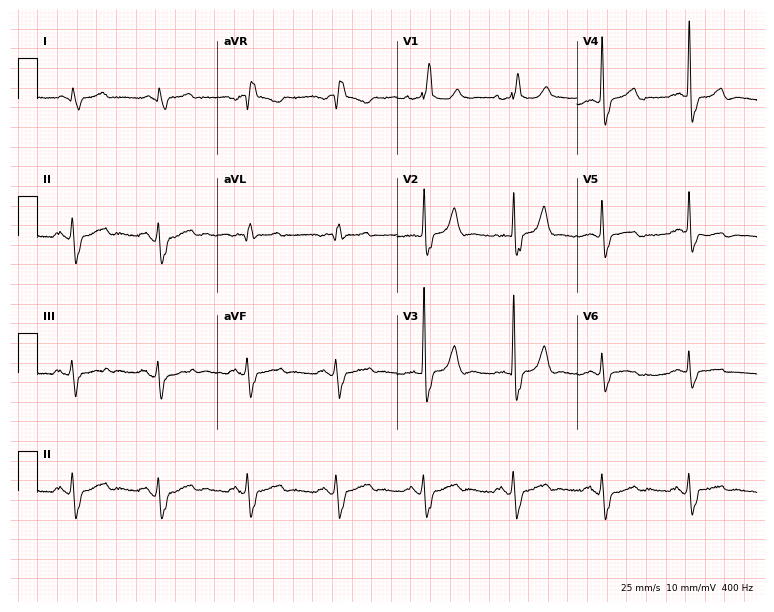
Resting 12-lead electrocardiogram (7.3-second recording at 400 Hz). Patient: a 73-year-old male. None of these six findings is recorded: first-degree AV block, right bundle branch block, left bundle branch block, sinus bradycardia, atrial fibrillation, sinus tachycardia.